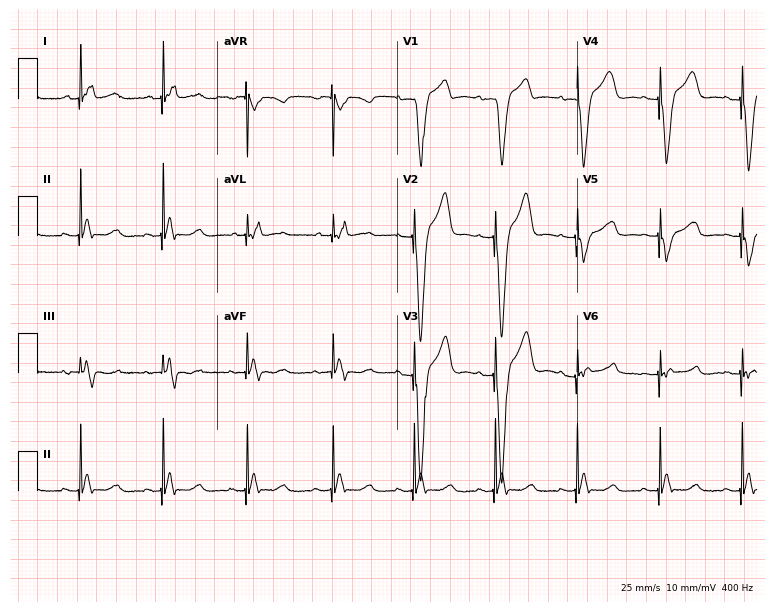
ECG (7.3-second recording at 400 Hz) — a 46-year-old female patient. Screened for six findings — first-degree AV block, right bundle branch block (RBBB), left bundle branch block (LBBB), sinus bradycardia, atrial fibrillation (AF), sinus tachycardia — none is recorded.